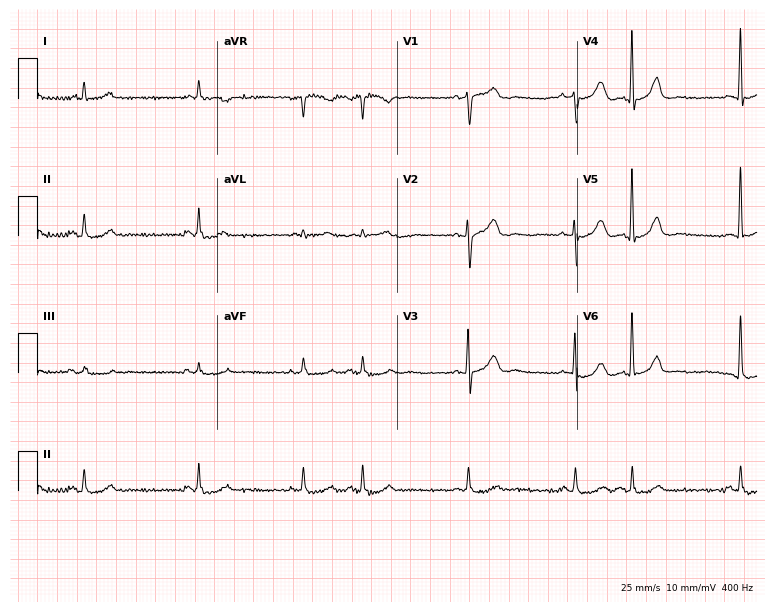
ECG — a 73-year-old female. Screened for six findings — first-degree AV block, right bundle branch block, left bundle branch block, sinus bradycardia, atrial fibrillation, sinus tachycardia — none is recorded.